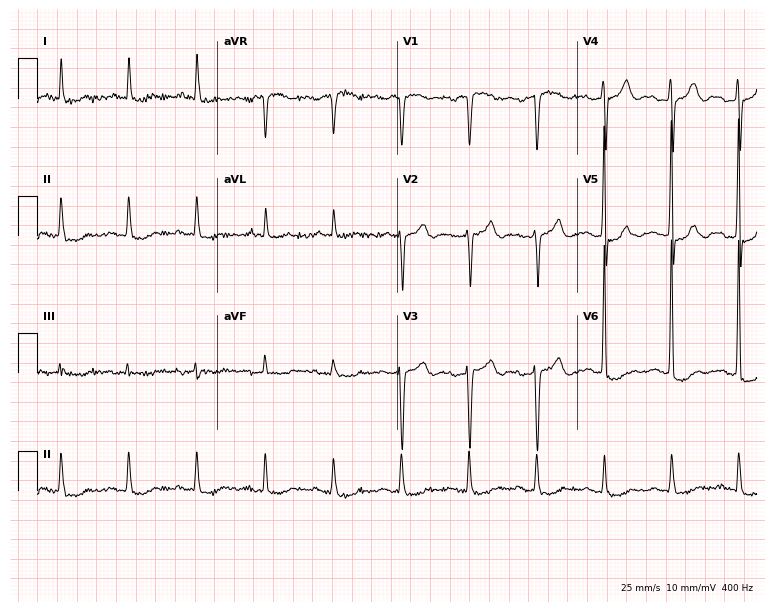
12-lead ECG from an 83-year-old male. Screened for six findings — first-degree AV block, right bundle branch block, left bundle branch block, sinus bradycardia, atrial fibrillation, sinus tachycardia — none is recorded. Only these six findings were labelled.